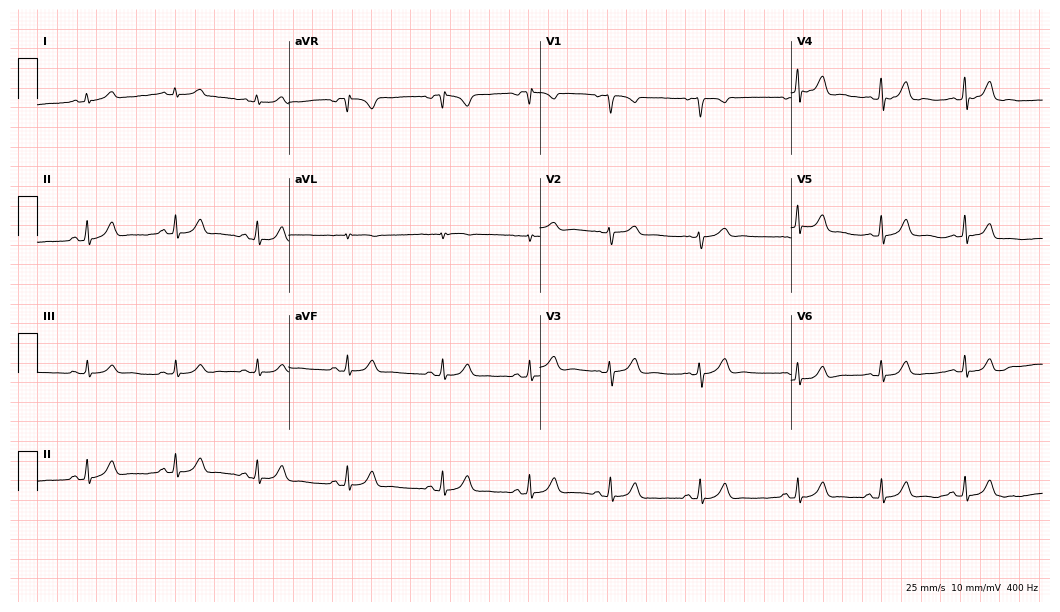
Resting 12-lead electrocardiogram. Patient: a female, 35 years old. Read as a normal ECG.